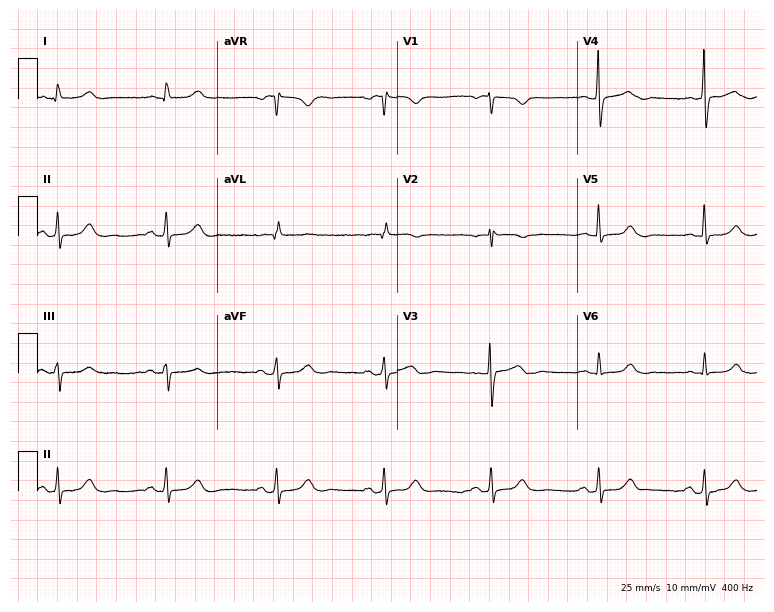
ECG — a woman, 59 years old. Labelled as a normal ECG.